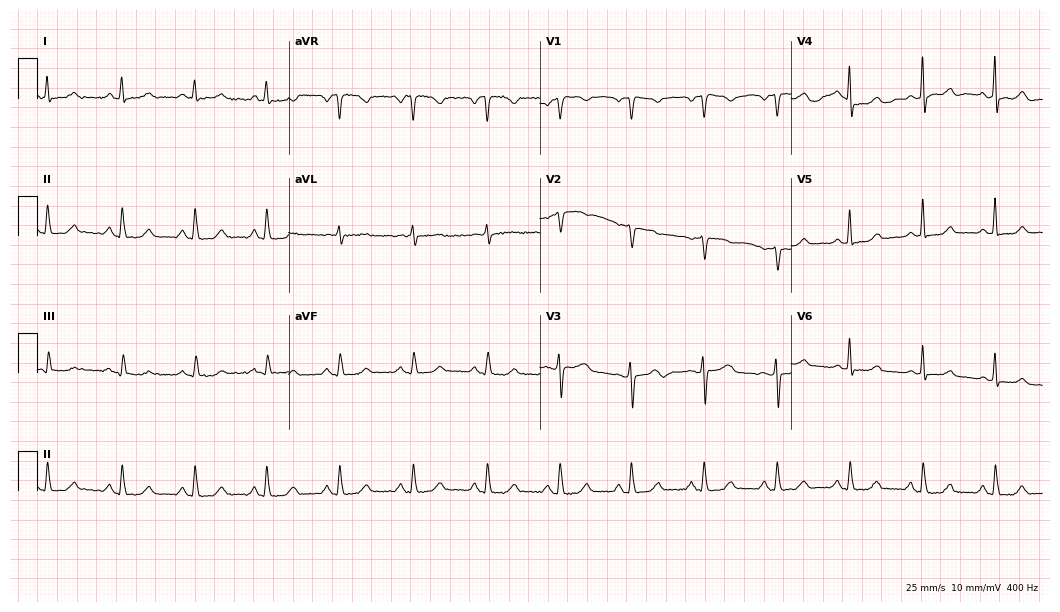
12-lead ECG (10.2-second recording at 400 Hz) from a female, 54 years old. Screened for six findings — first-degree AV block, right bundle branch block, left bundle branch block, sinus bradycardia, atrial fibrillation, sinus tachycardia — none is recorded.